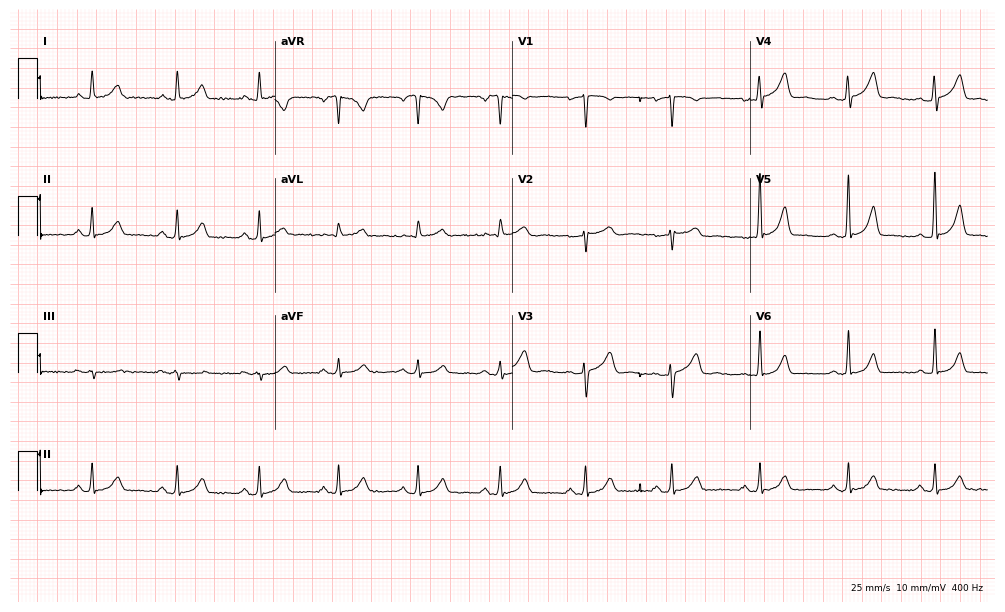
12-lead ECG from a female patient, 39 years old. Recorded interpretation: within normal limits.